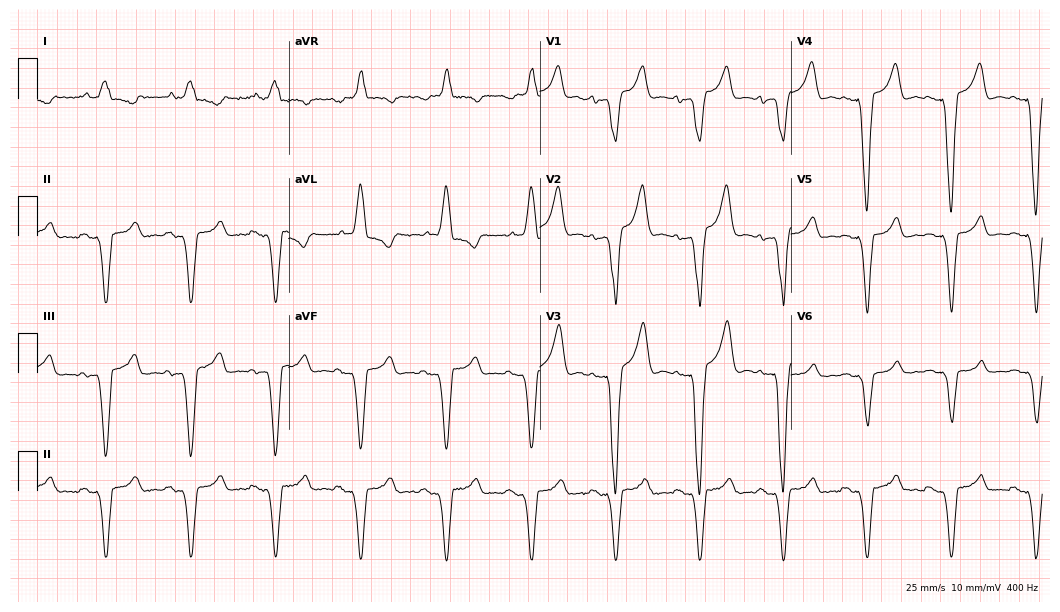
Electrocardiogram (10.2-second recording at 400 Hz), a man, 82 years old. Interpretation includes left bundle branch block.